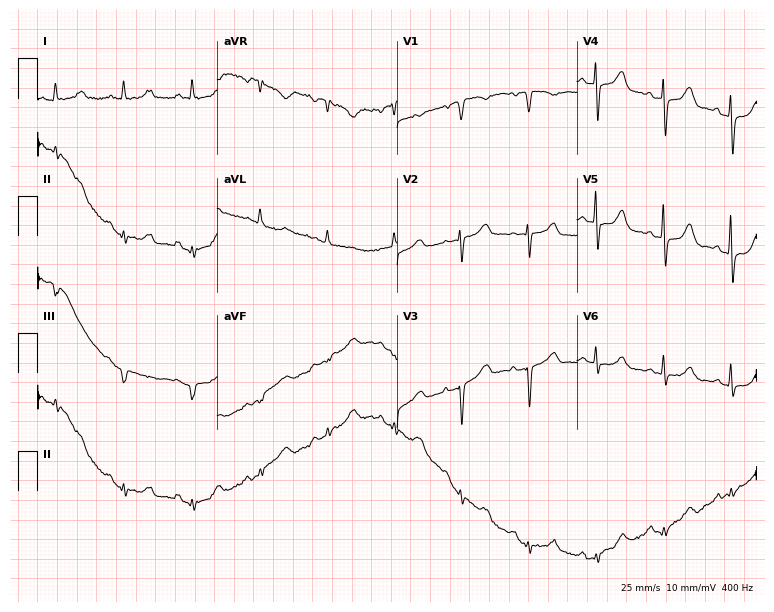
12-lead ECG (7.3-second recording at 400 Hz) from a 75-year-old female. Screened for six findings — first-degree AV block, right bundle branch block, left bundle branch block, sinus bradycardia, atrial fibrillation, sinus tachycardia — none is recorded. Other findings, if any, are not listed.